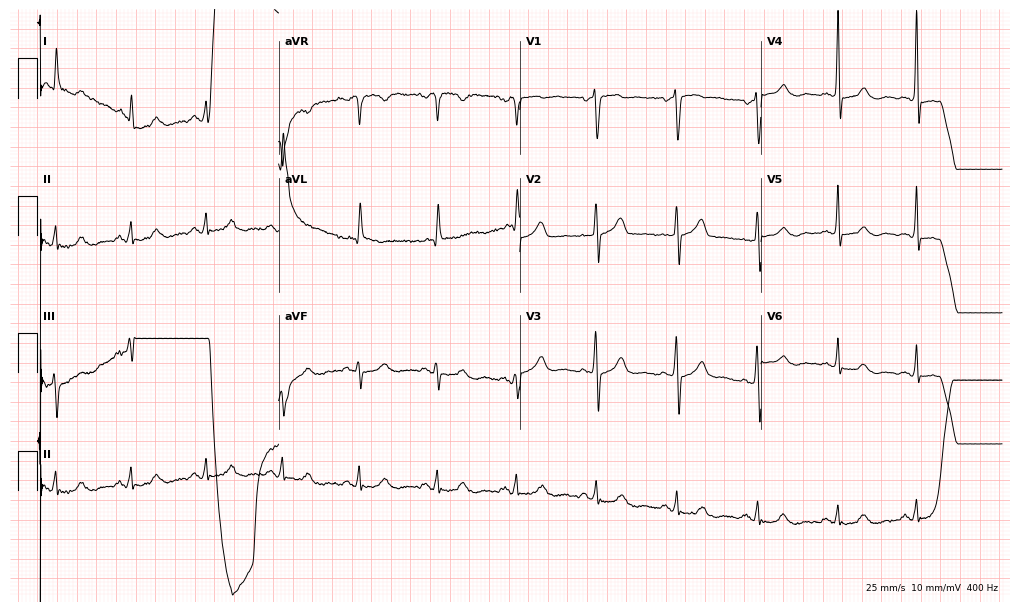
Resting 12-lead electrocardiogram. Patient: a 66-year-old male. None of these six findings is recorded: first-degree AV block, right bundle branch block (RBBB), left bundle branch block (LBBB), sinus bradycardia, atrial fibrillation (AF), sinus tachycardia. Findings outside these six are not listed.